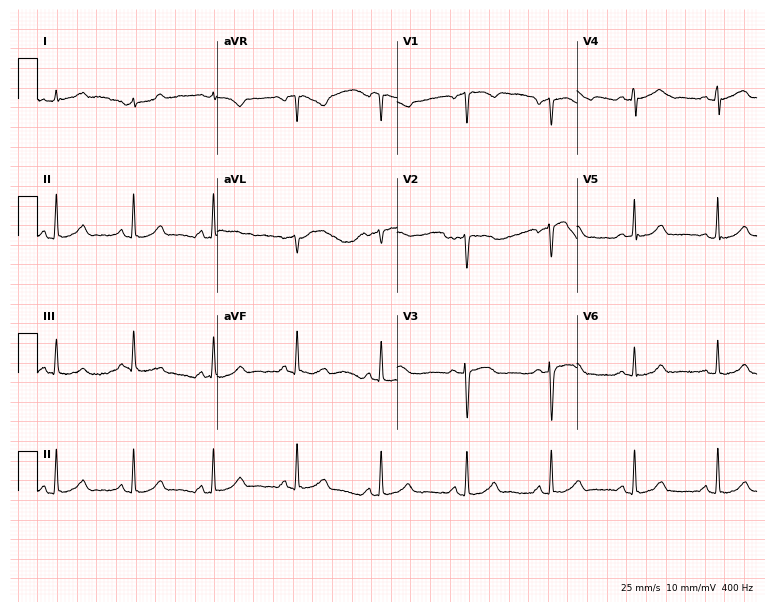
Electrocardiogram (7.3-second recording at 400 Hz), a female, 59 years old. Overall reading on record: normal ECG.